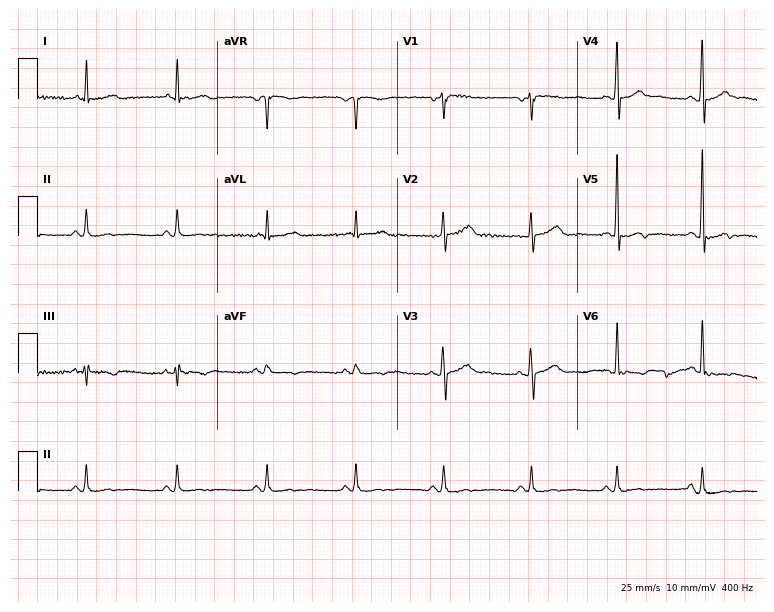
Resting 12-lead electrocardiogram (7.3-second recording at 400 Hz). Patient: a 56-year-old male. None of these six findings is recorded: first-degree AV block, right bundle branch block, left bundle branch block, sinus bradycardia, atrial fibrillation, sinus tachycardia.